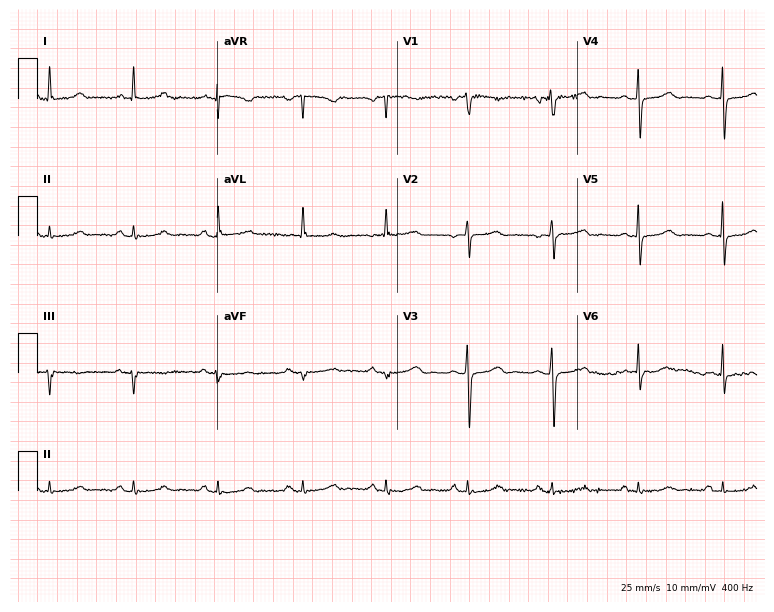
ECG — a female patient, 50 years old. Labelled as a normal ECG.